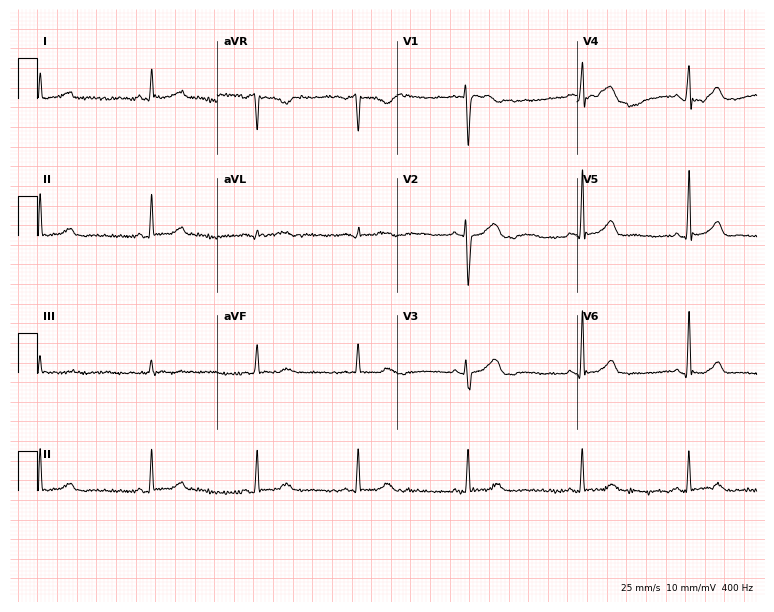
Standard 12-lead ECG recorded from a female, 35 years old. None of these six findings is recorded: first-degree AV block, right bundle branch block, left bundle branch block, sinus bradycardia, atrial fibrillation, sinus tachycardia.